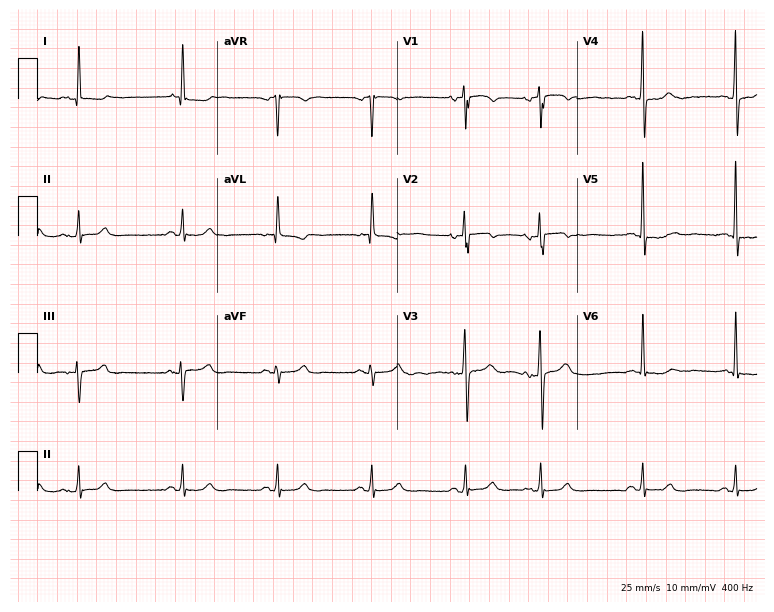
12-lead ECG from an 84-year-old male patient. No first-degree AV block, right bundle branch block, left bundle branch block, sinus bradycardia, atrial fibrillation or sinus tachycardia recorded for this tracing.